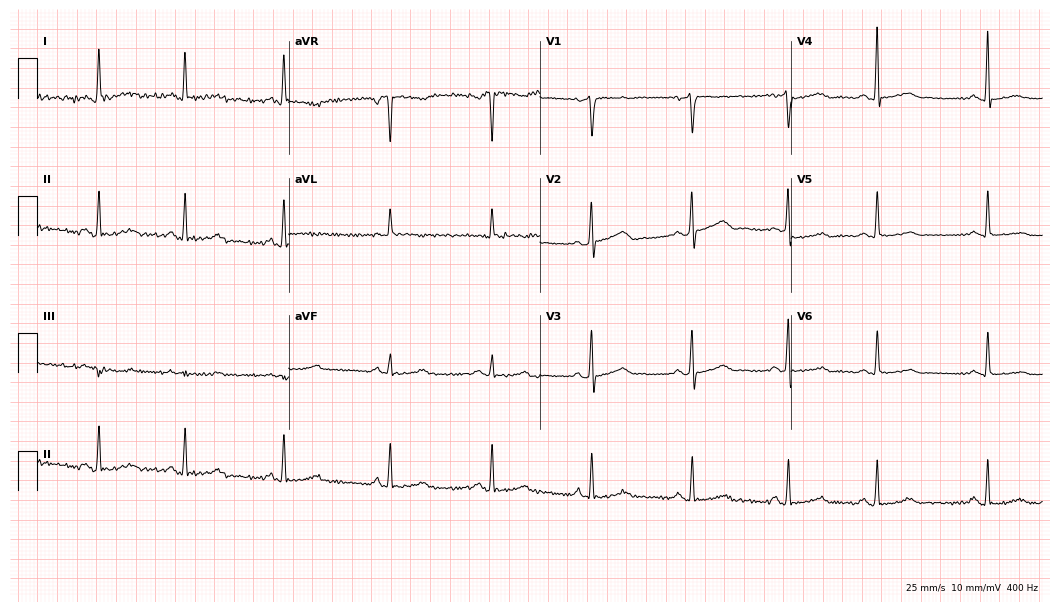
12-lead ECG from a 56-year-old female patient. Labelled as a normal ECG.